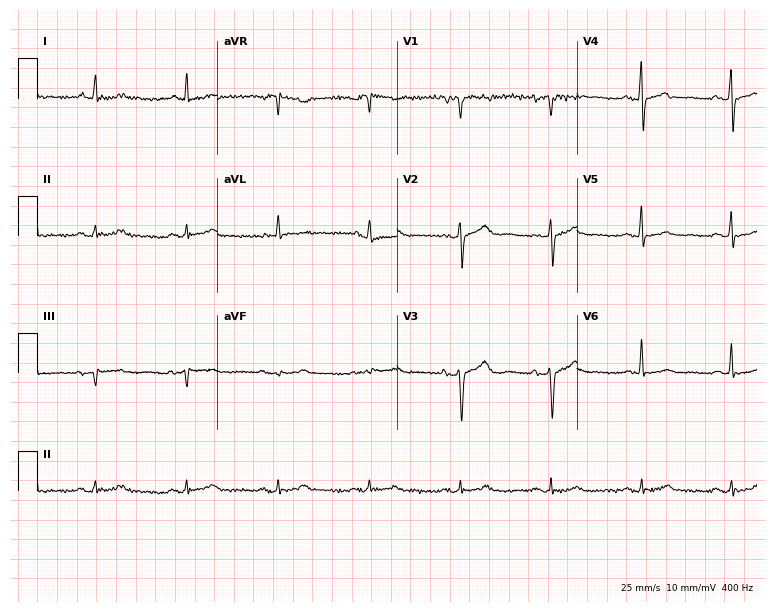
Resting 12-lead electrocardiogram. Patient: a 78-year-old male. None of these six findings is recorded: first-degree AV block, right bundle branch block, left bundle branch block, sinus bradycardia, atrial fibrillation, sinus tachycardia. Only these six findings were labelled.